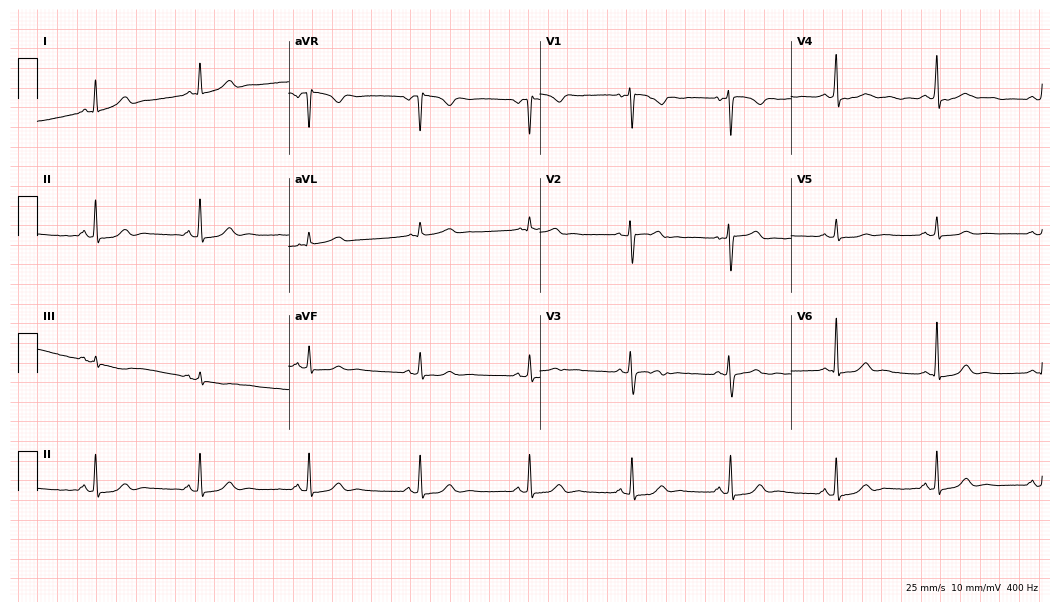
Electrocardiogram, a 45-year-old woman. Overall reading on record: normal ECG.